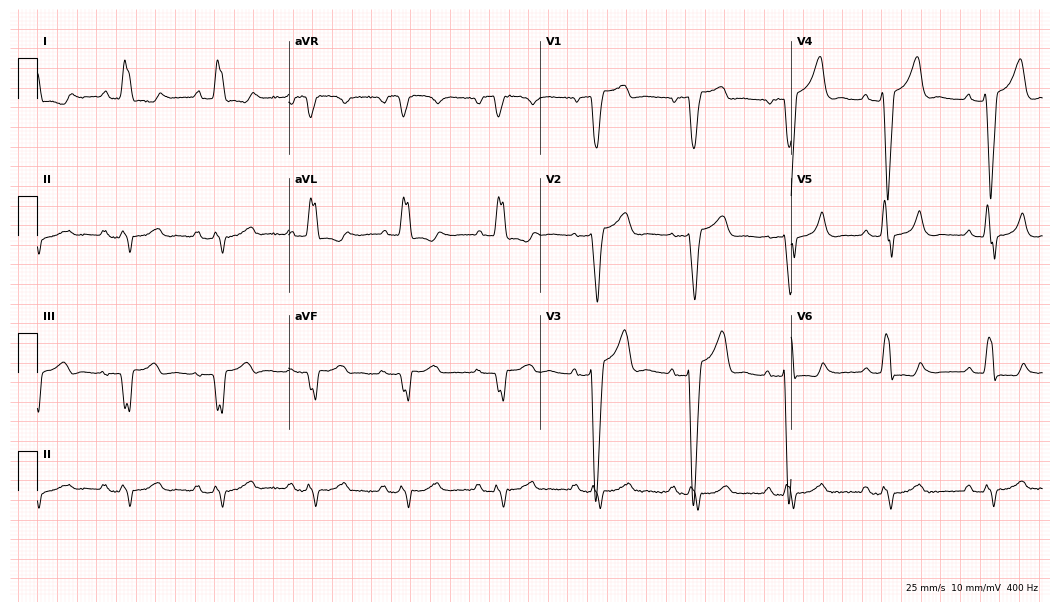
12-lead ECG from a woman, 80 years old. Screened for six findings — first-degree AV block, right bundle branch block, left bundle branch block, sinus bradycardia, atrial fibrillation, sinus tachycardia — none is recorded.